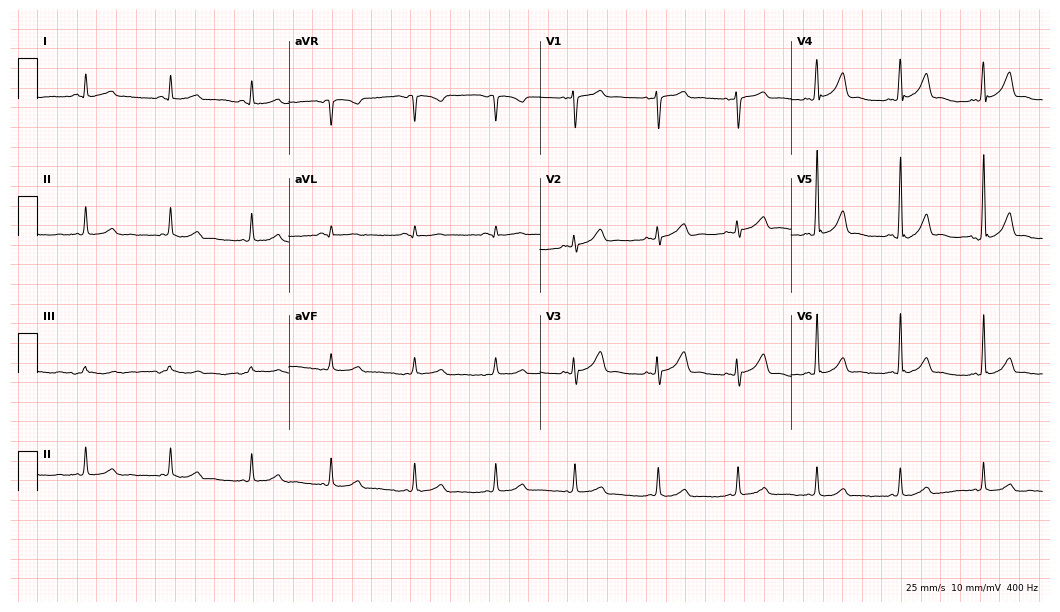
Electrocardiogram, a 40-year-old female patient. Of the six screened findings (first-degree AV block, right bundle branch block, left bundle branch block, sinus bradycardia, atrial fibrillation, sinus tachycardia), none is recorded. Findings outside these six are not listed.